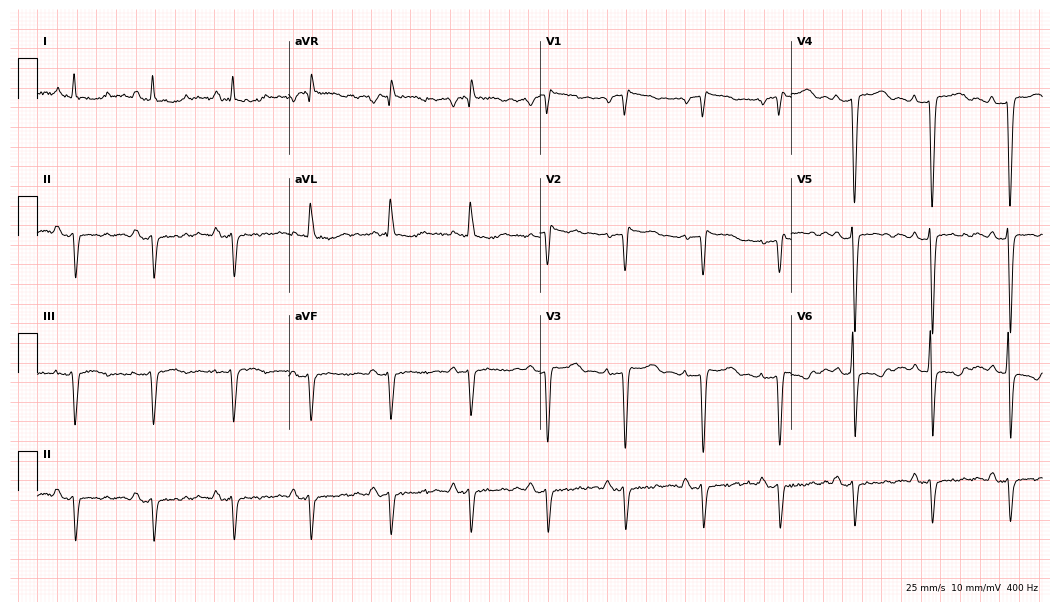
Electrocardiogram, a female, 38 years old. Of the six screened findings (first-degree AV block, right bundle branch block, left bundle branch block, sinus bradycardia, atrial fibrillation, sinus tachycardia), none is recorded.